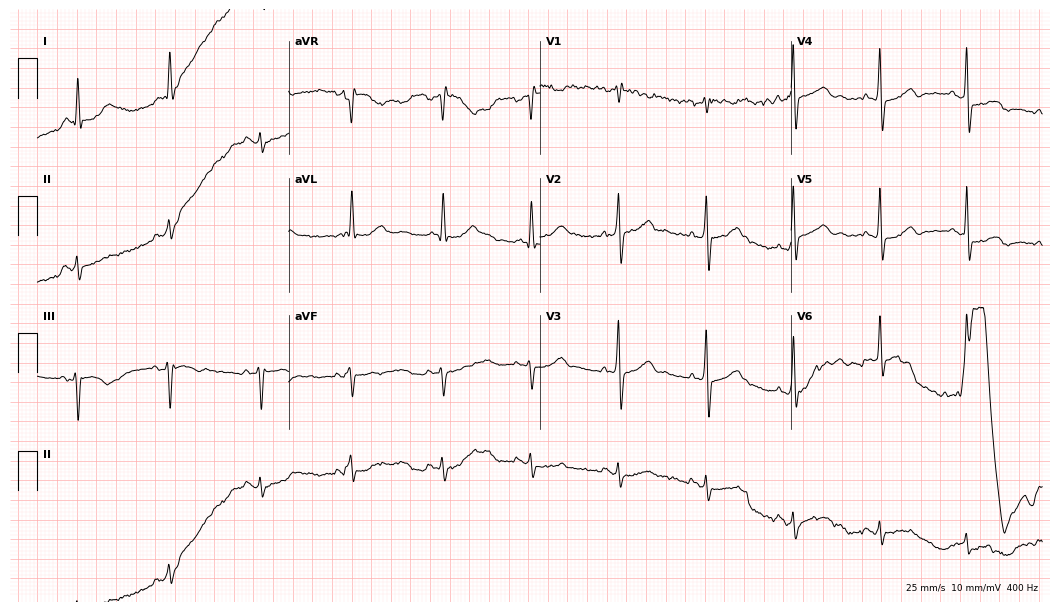
Resting 12-lead electrocardiogram (10.2-second recording at 400 Hz). Patient: a male, 66 years old. None of these six findings is recorded: first-degree AV block, right bundle branch block, left bundle branch block, sinus bradycardia, atrial fibrillation, sinus tachycardia.